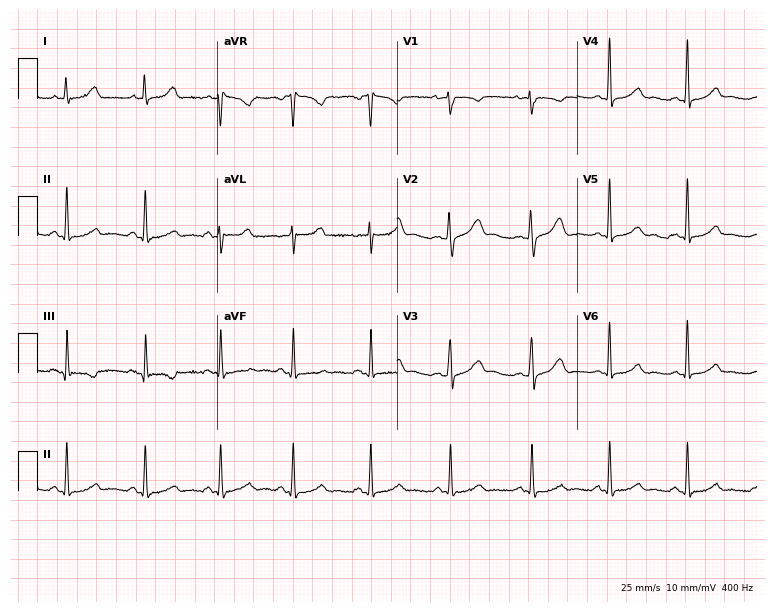
Resting 12-lead electrocardiogram. Patient: a 23-year-old female. None of these six findings is recorded: first-degree AV block, right bundle branch block, left bundle branch block, sinus bradycardia, atrial fibrillation, sinus tachycardia. Other findings, if any, are not listed.